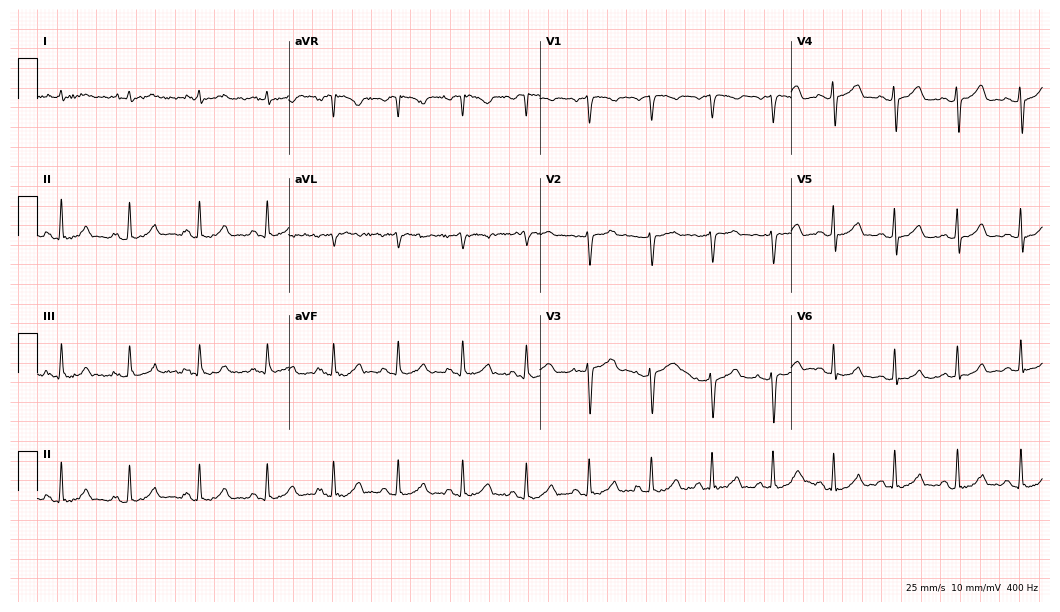
12-lead ECG from a female, 54 years old (10.2-second recording at 400 Hz). Recorded interpretation: within normal limits.